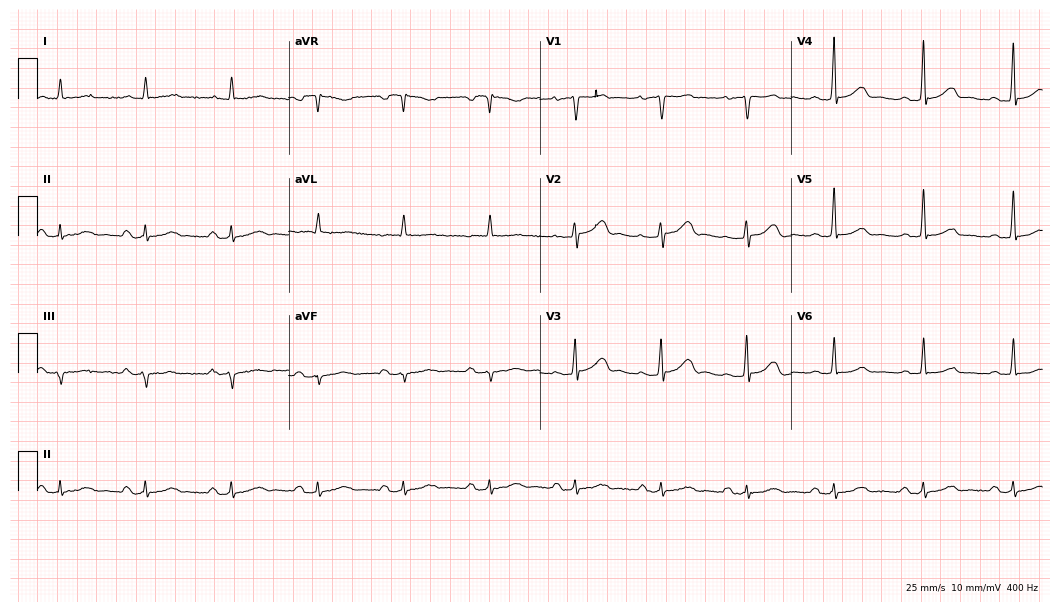
Standard 12-lead ECG recorded from a 62-year-old female. Read as a normal ECG.